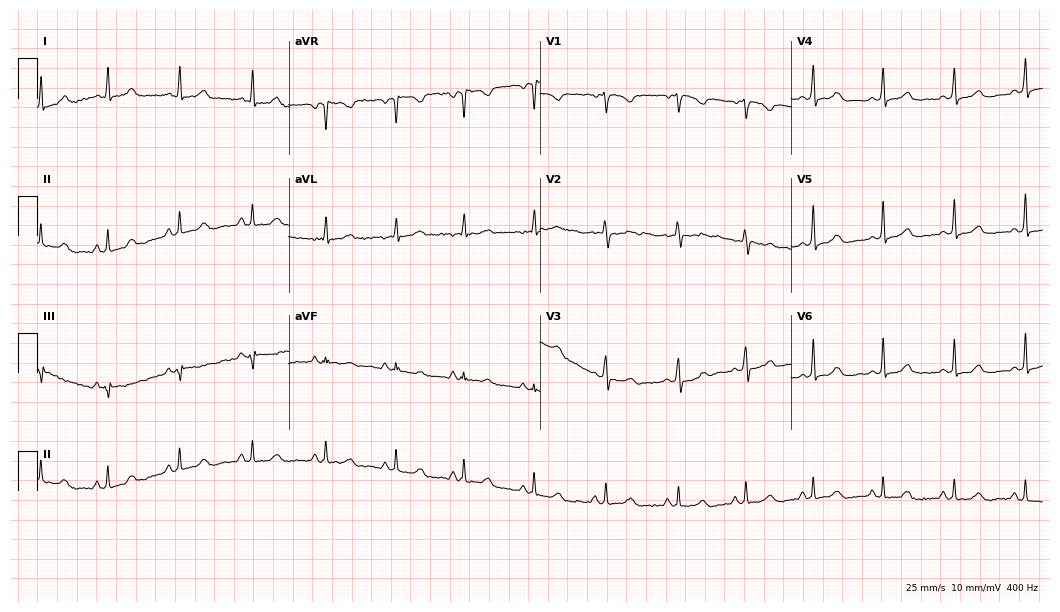
Resting 12-lead electrocardiogram. Patient: a female, 45 years old. Read as a normal ECG.